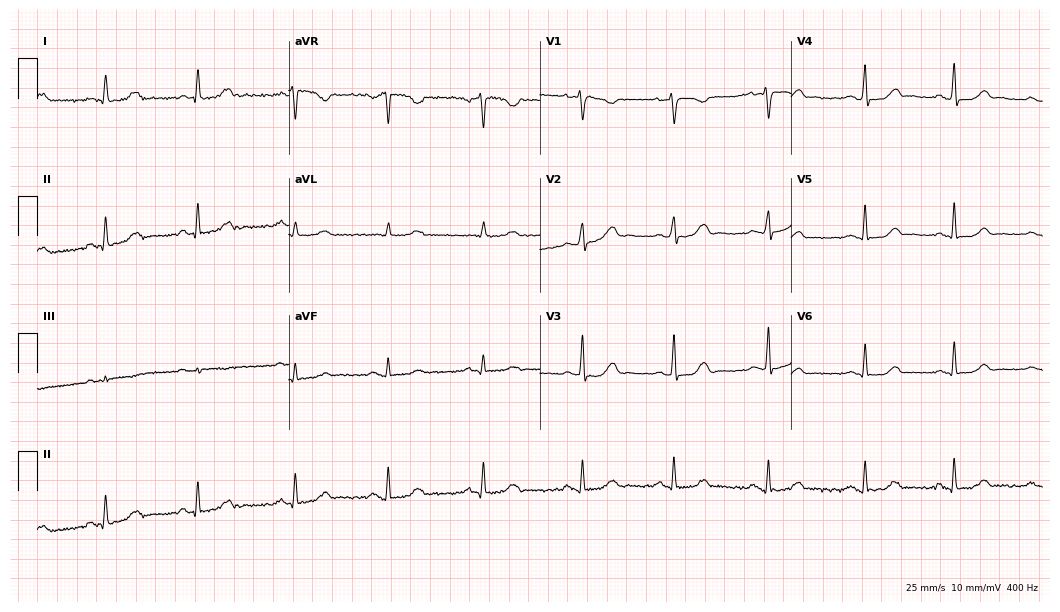
Resting 12-lead electrocardiogram (10.2-second recording at 400 Hz). Patient: a female, 37 years old. Read as a normal ECG.